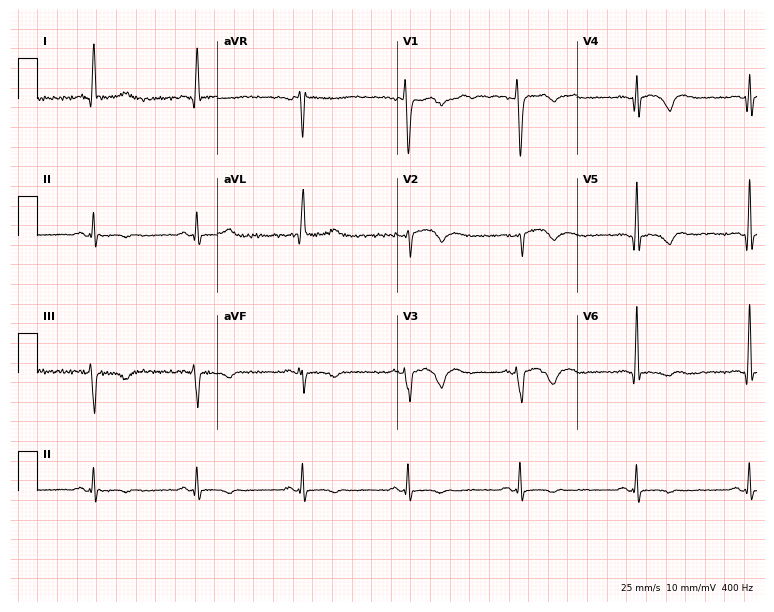
12-lead ECG from a man, 62 years old. No first-degree AV block, right bundle branch block (RBBB), left bundle branch block (LBBB), sinus bradycardia, atrial fibrillation (AF) or sinus tachycardia recorded for this tracing. Only these six findings were labelled.